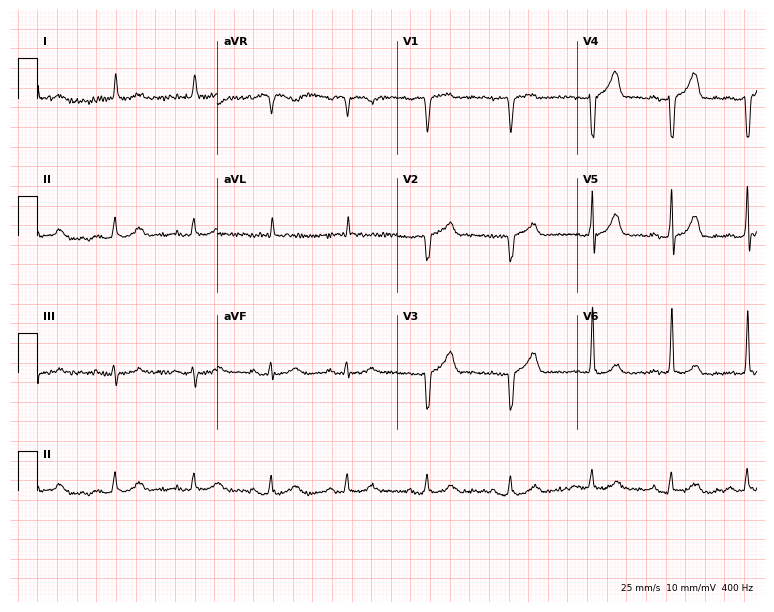
ECG (7.3-second recording at 400 Hz) — an 80-year-old male patient. Screened for six findings — first-degree AV block, right bundle branch block, left bundle branch block, sinus bradycardia, atrial fibrillation, sinus tachycardia — none is recorded.